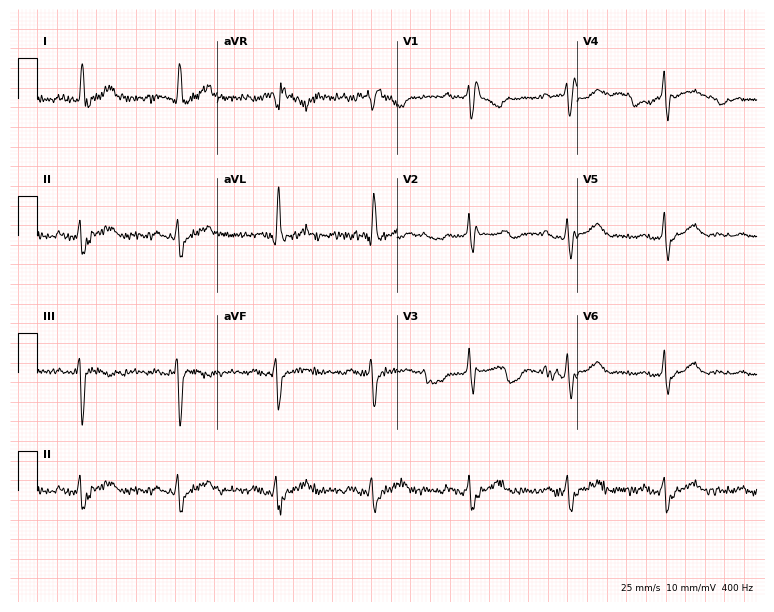
ECG (7.3-second recording at 400 Hz) — a 73-year-old female. Screened for six findings — first-degree AV block, right bundle branch block, left bundle branch block, sinus bradycardia, atrial fibrillation, sinus tachycardia — none is recorded. Findings outside these six are not listed.